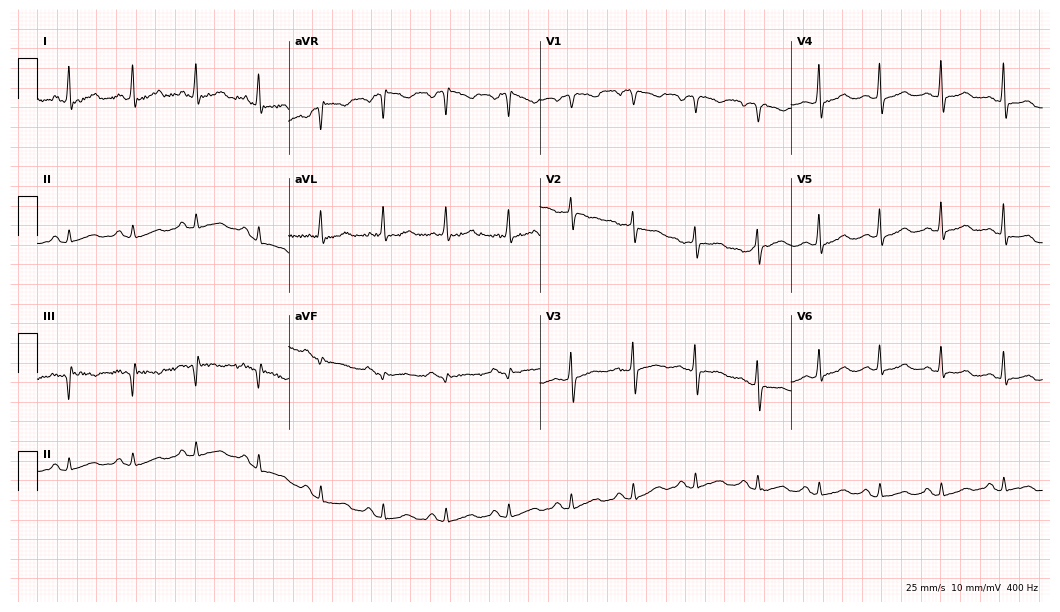
Resting 12-lead electrocardiogram (10.2-second recording at 400 Hz). Patient: a female, 72 years old. None of these six findings is recorded: first-degree AV block, right bundle branch block, left bundle branch block, sinus bradycardia, atrial fibrillation, sinus tachycardia.